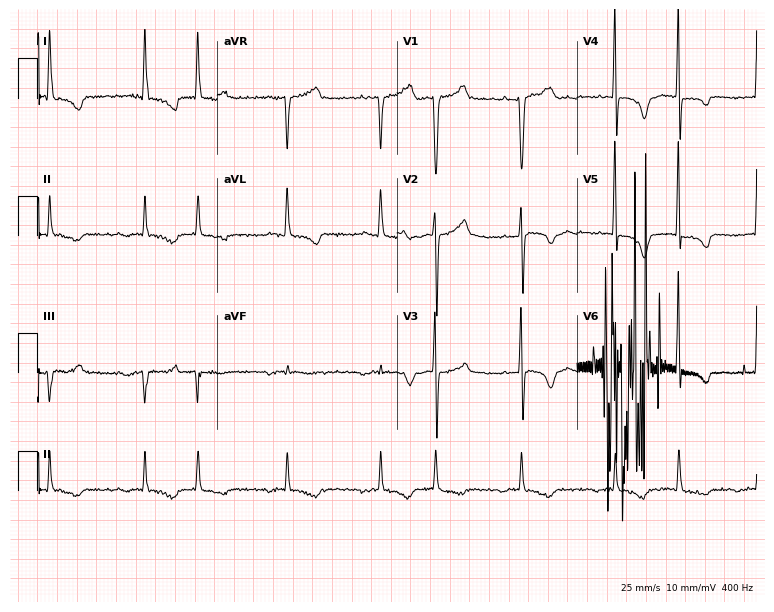
12-lead ECG (7.3-second recording at 400 Hz) from a man, 67 years old. Screened for six findings — first-degree AV block, right bundle branch block, left bundle branch block, sinus bradycardia, atrial fibrillation, sinus tachycardia — none is recorded. Other findings, if any, are not listed.